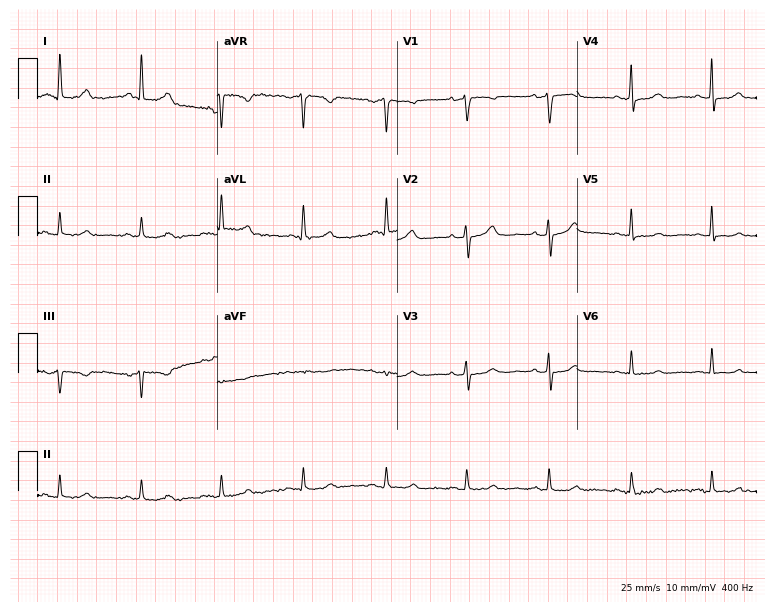
Resting 12-lead electrocardiogram. Patient: a female, 85 years old. None of these six findings is recorded: first-degree AV block, right bundle branch block, left bundle branch block, sinus bradycardia, atrial fibrillation, sinus tachycardia.